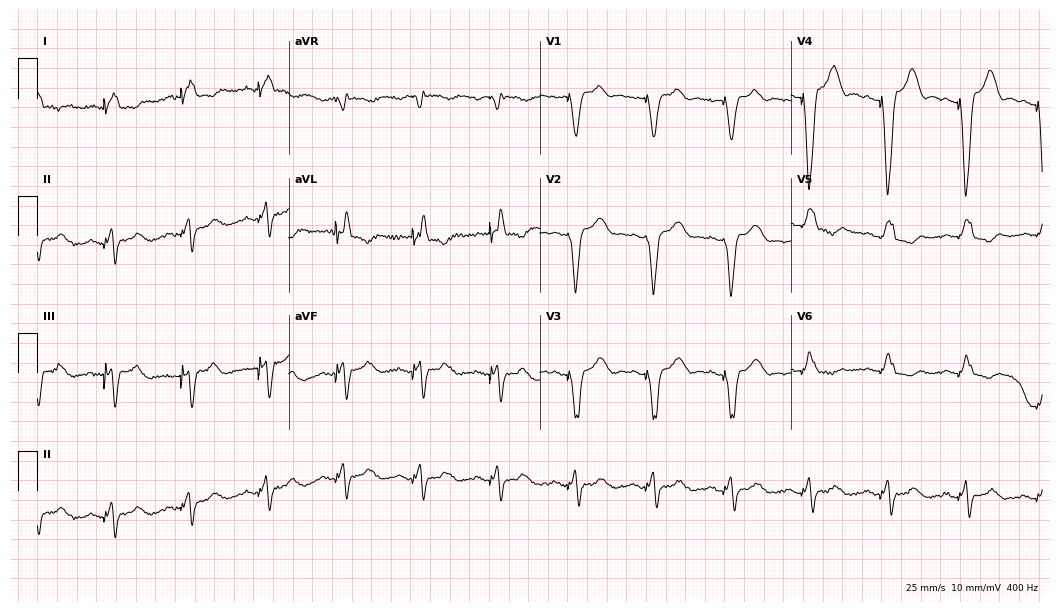
Electrocardiogram (10.2-second recording at 400 Hz), an 81-year-old female. Of the six screened findings (first-degree AV block, right bundle branch block, left bundle branch block, sinus bradycardia, atrial fibrillation, sinus tachycardia), none is recorded.